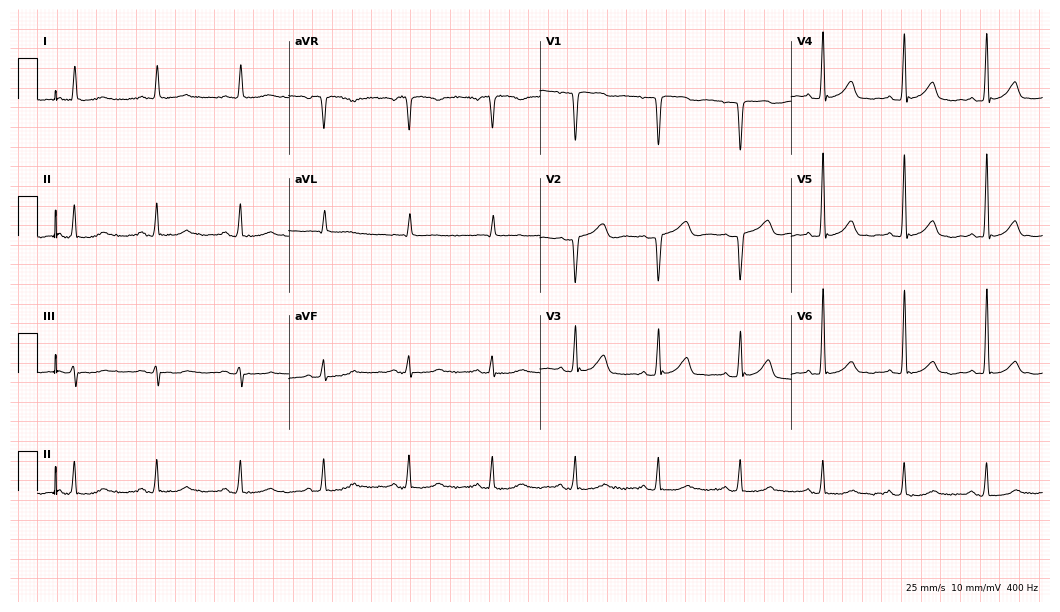
ECG (10.2-second recording at 400 Hz) — a woman, 75 years old. Labelled as a normal ECG.